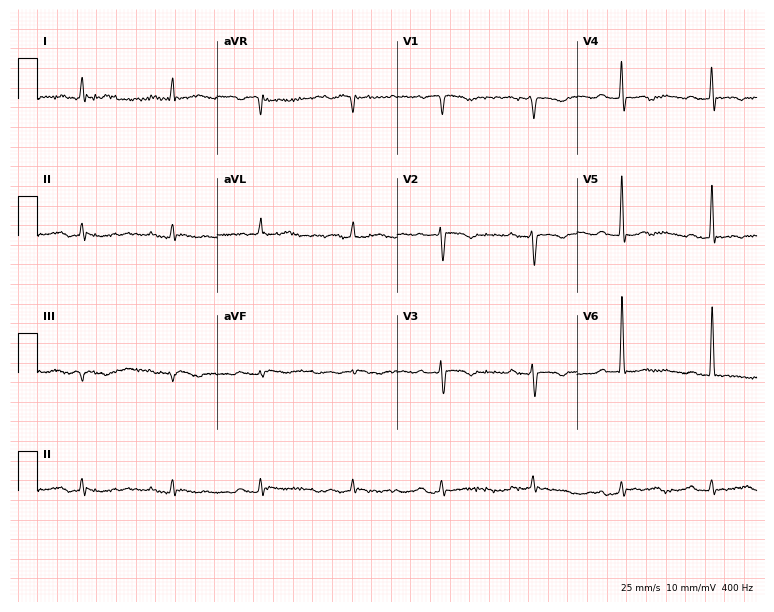
12-lead ECG from a 45-year-old woman (7.3-second recording at 400 Hz). Shows first-degree AV block.